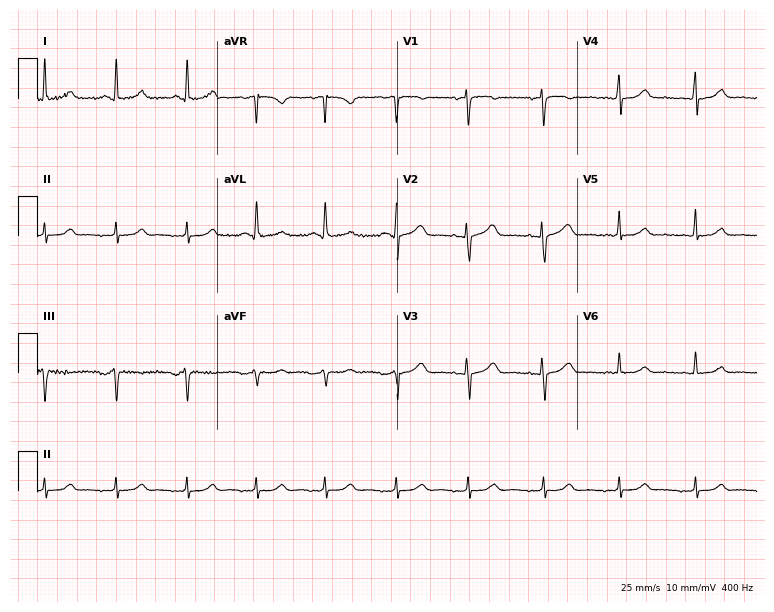
Standard 12-lead ECG recorded from a 50-year-old female patient (7.3-second recording at 400 Hz). Read as a normal ECG.